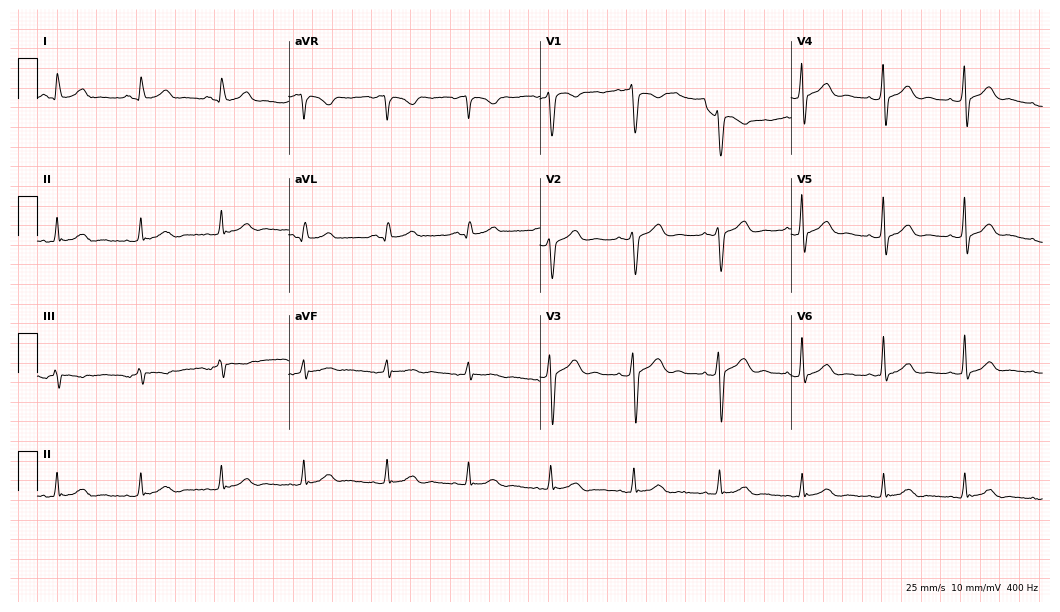
12-lead ECG from a 29-year-old man. Recorded interpretation: within normal limits.